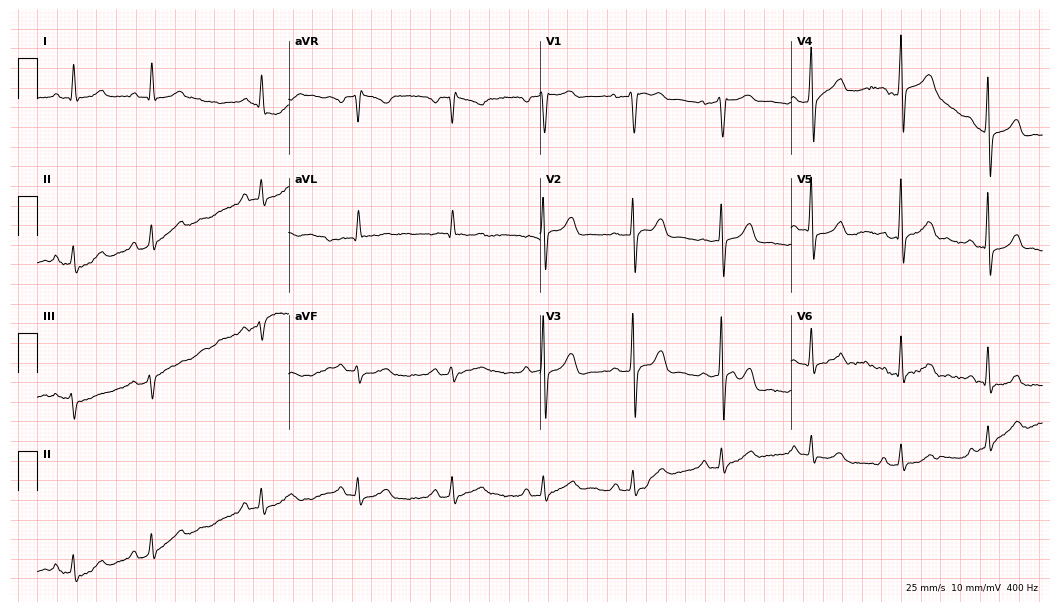
Standard 12-lead ECG recorded from an 83-year-old male patient. Read as a normal ECG.